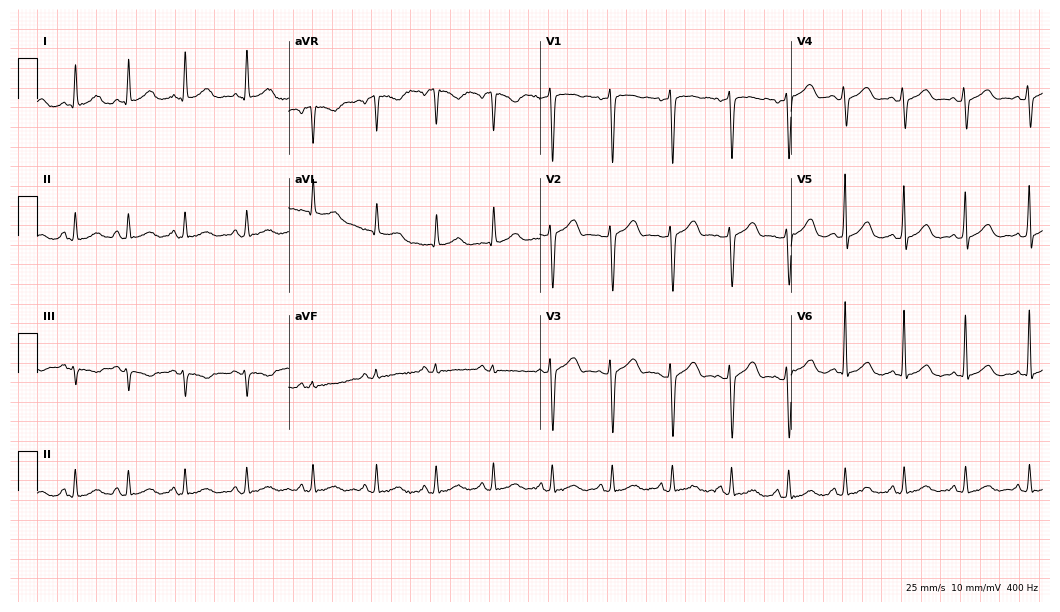
Resting 12-lead electrocardiogram. Patient: a 40-year-old woman. None of these six findings is recorded: first-degree AV block, right bundle branch block, left bundle branch block, sinus bradycardia, atrial fibrillation, sinus tachycardia.